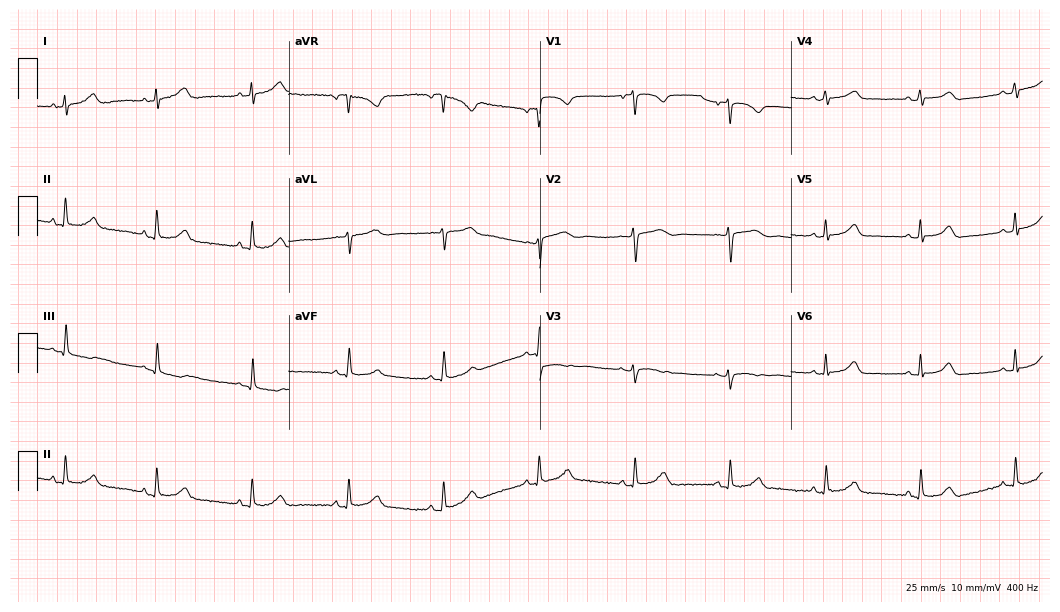
ECG (10.2-second recording at 400 Hz) — a 36-year-old female. Labelled as a normal ECG.